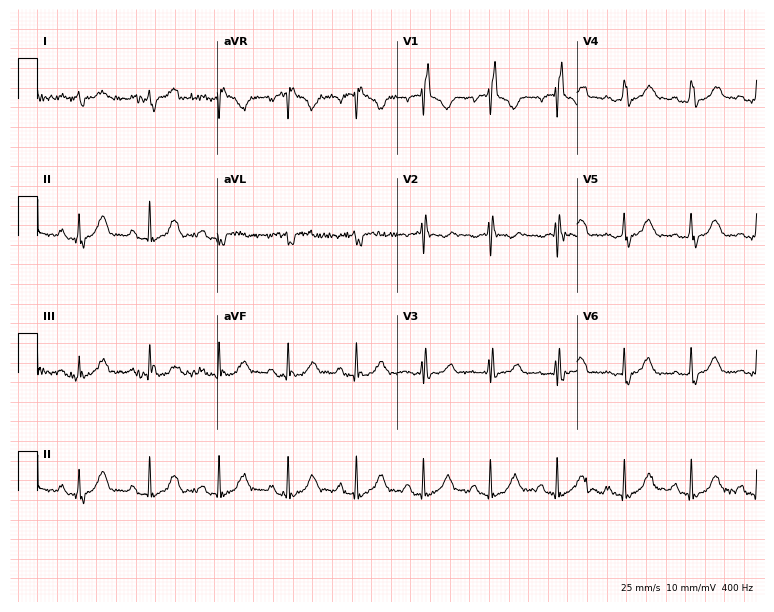
Electrocardiogram (7.3-second recording at 400 Hz), an 85-year-old male. Of the six screened findings (first-degree AV block, right bundle branch block, left bundle branch block, sinus bradycardia, atrial fibrillation, sinus tachycardia), none is recorded. Findings outside these six are not listed.